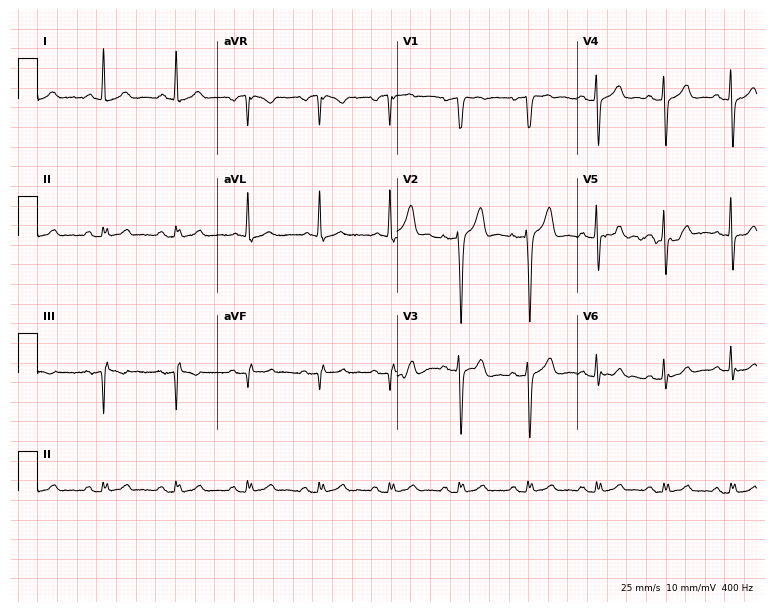
ECG (7.3-second recording at 400 Hz) — a male patient, 65 years old. Labelled as a normal ECG.